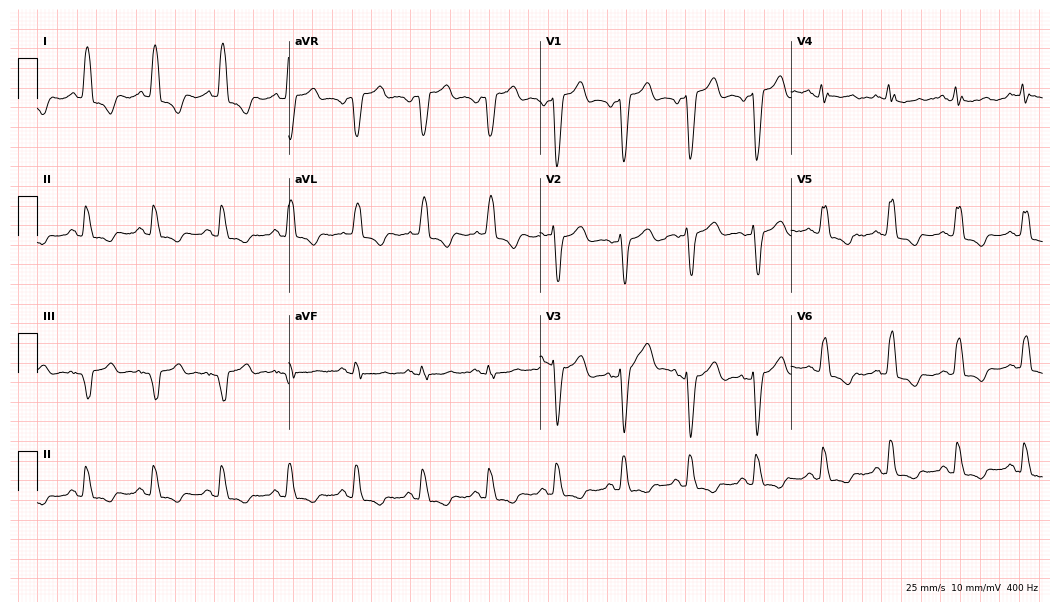
Electrocardiogram, an 85-year-old female. Interpretation includes left bundle branch block.